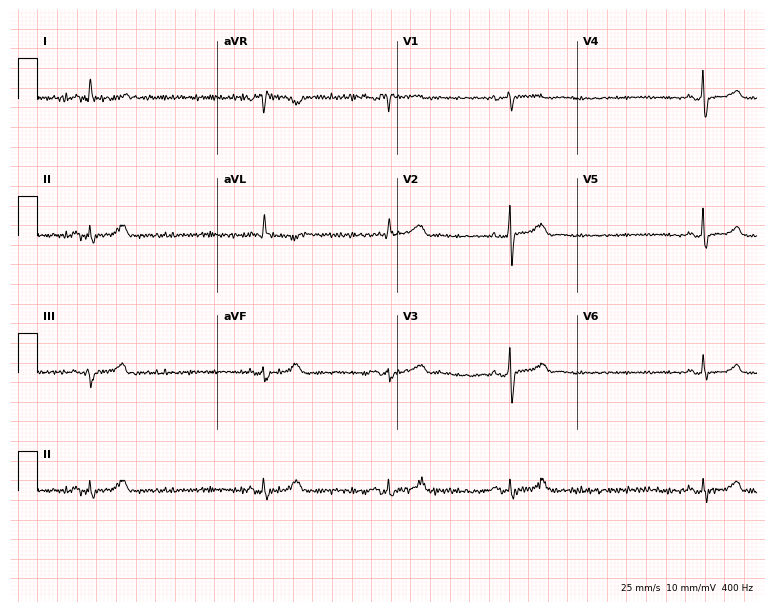
12-lead ECG from a 63-year-old woman. Findings include sinus bradycardia (a sinus rate of 50 beats per minute or less).